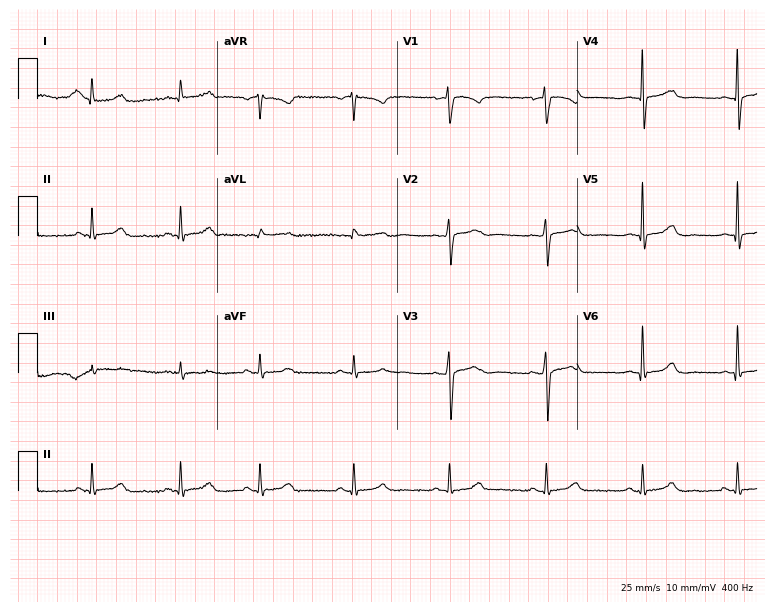
Resting 12-lead electrocardiogram (7.3-second recording at 400 Hz). Patient: a woman, 51 years old. None of these six findings is recorded: first-degree AV block, right bundle branch block (RBBB), left bundle branch block (LBBB), sinus bradycardia, atrial fibrillation (AF), sinus tachycardia.